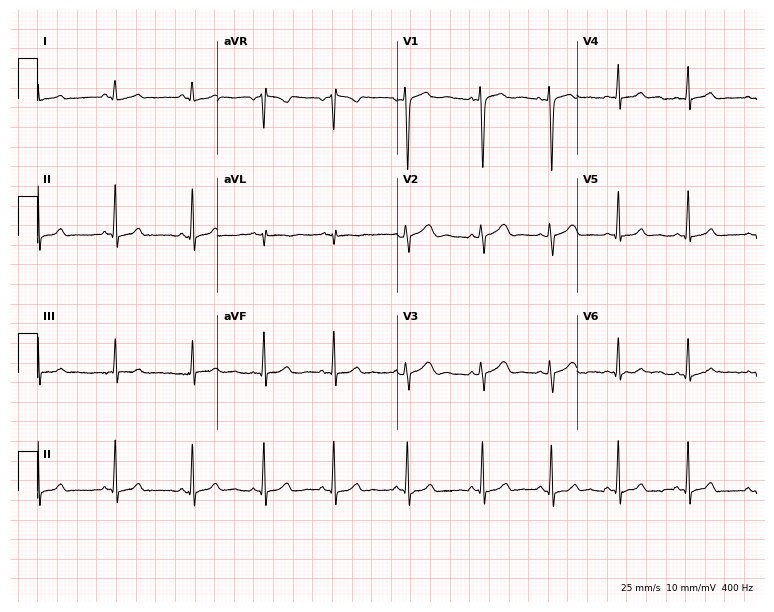
Electrocardiogram, a woman, 21 years old. Overall reading on record: normal ECG.